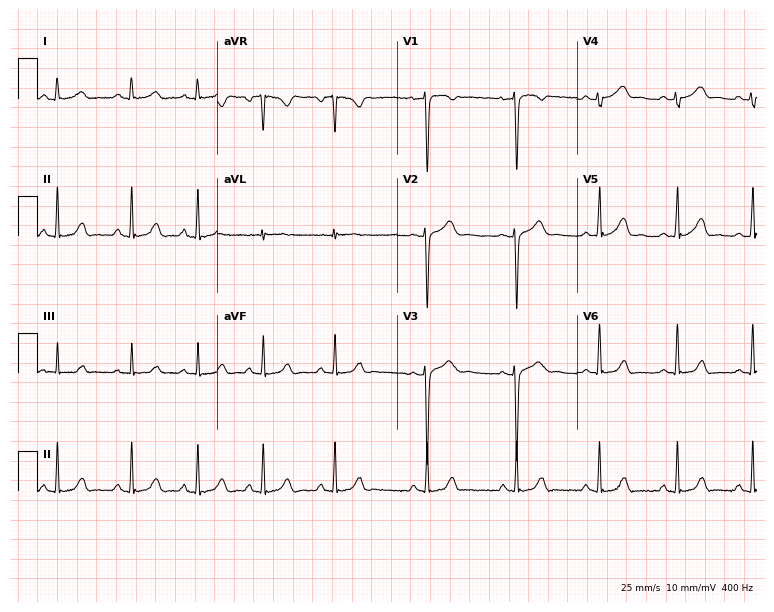
Standard 12-lead ECG recorded from a 24-year-old woman (7.3-second recording at 400 Hz). Read as a normal ECG.